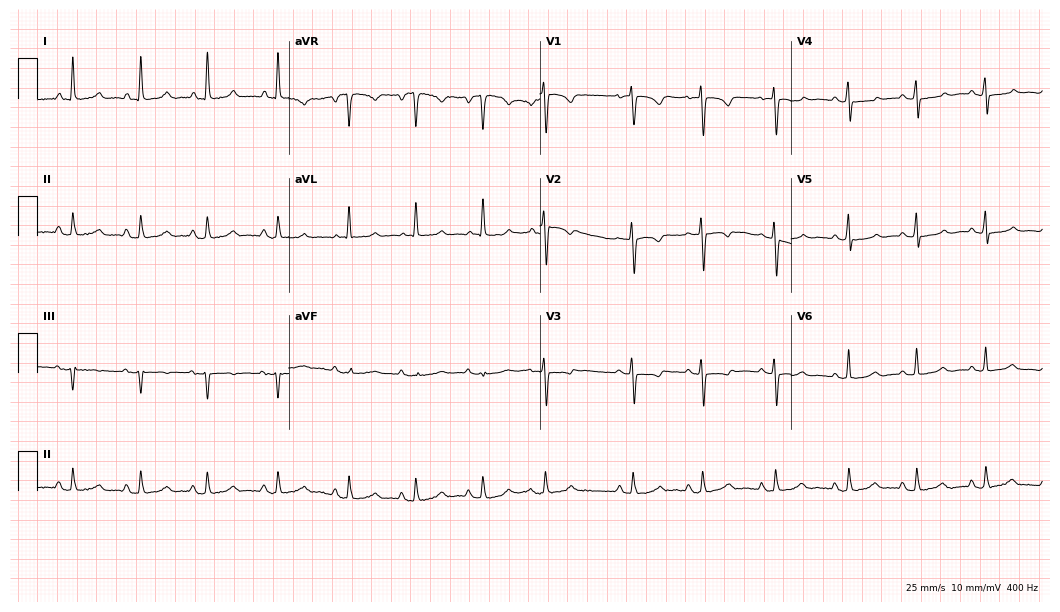
12-lead ECG from a woman, 75 years old (10.2-second recording at 400 Hz). No first-degree AV block, right bundle branch block, left bundle branch block, sinus bradycardia, atrial fibrillation or sinus tachycardia recorded for this tracing. Other findings, if any, are not listed.